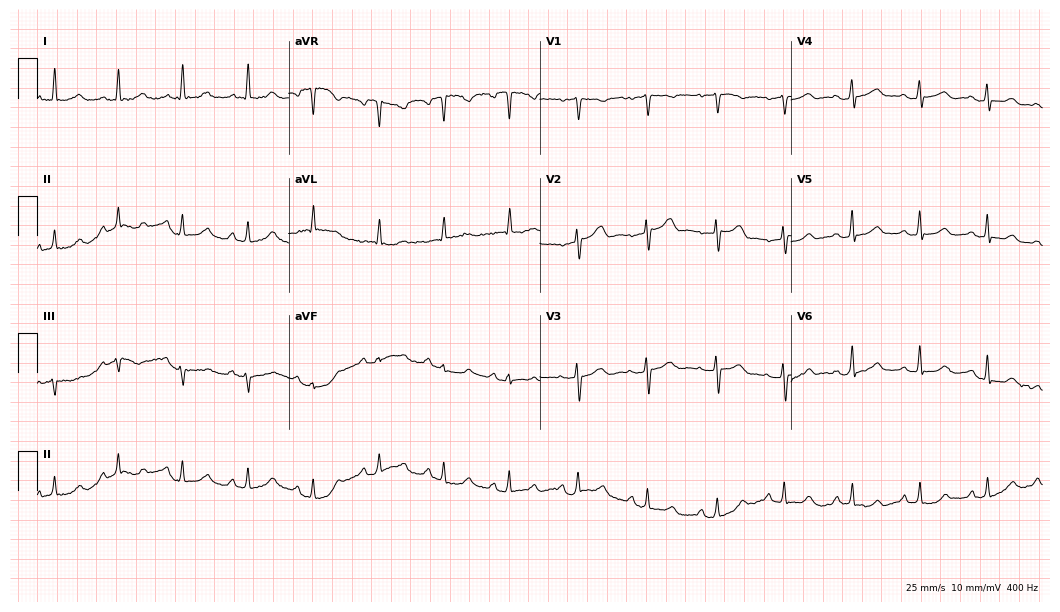
Standard 12-lead ECG recorded from a 51-year-old woman. Read as a normal ECG.